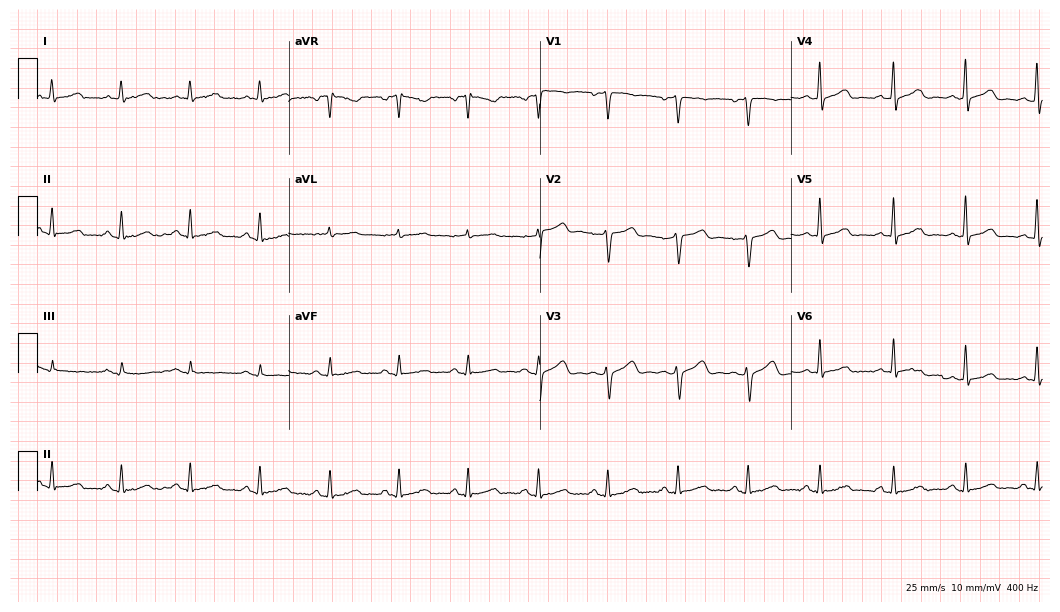
Resting 12-lead electrocardiogram. Patient: a female, 51 years old. None of these six findings is recorded: first-degree AV block, right bundle branch block, left bundle branch block, sinus bradycardia, atrial fibrillation, sinus tachycardia.